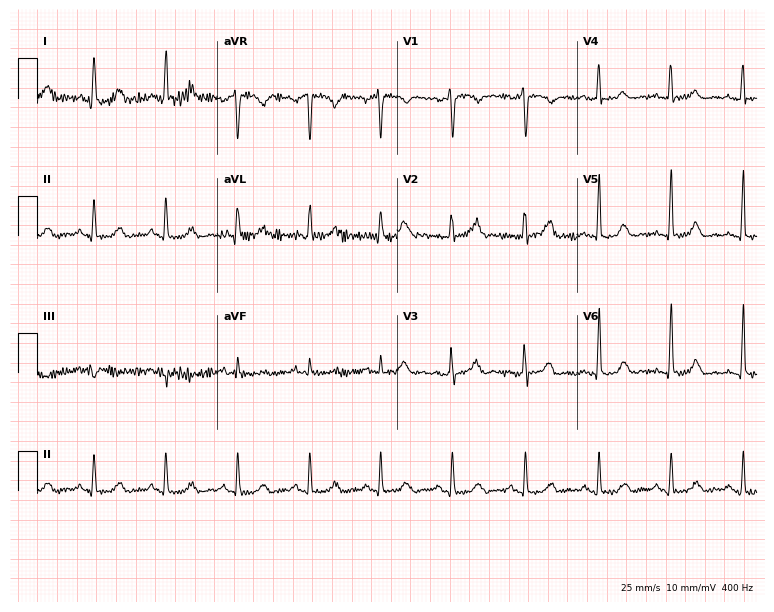
Standard 12-lead ECG recorded from a woman, 50 years old. Read as a normal ECG.